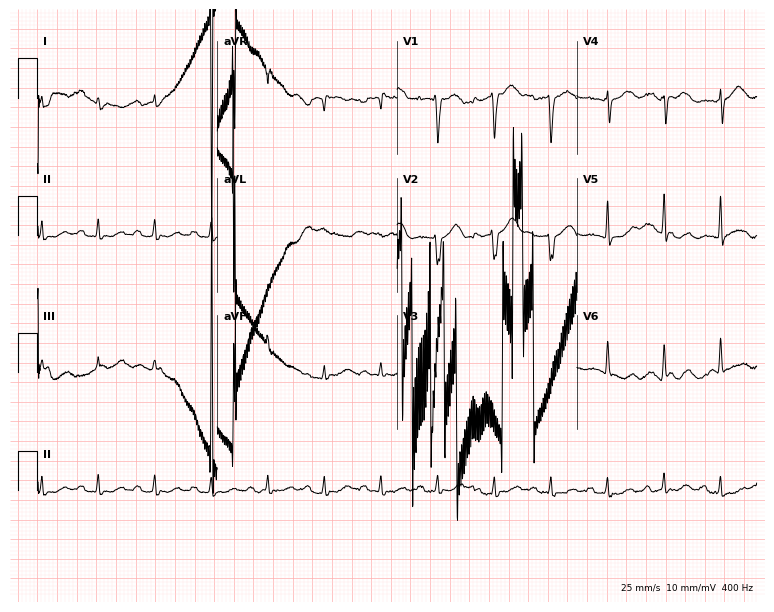
12-lead ECG from an 83-year-old female patient. Screened for six findings — first-degree AV block, right bundle branch block, left bundle branch block, sinus bradycardia, atrial fibrillation, sinus tachycardia — none is recorded. Only these six findings were labelled.